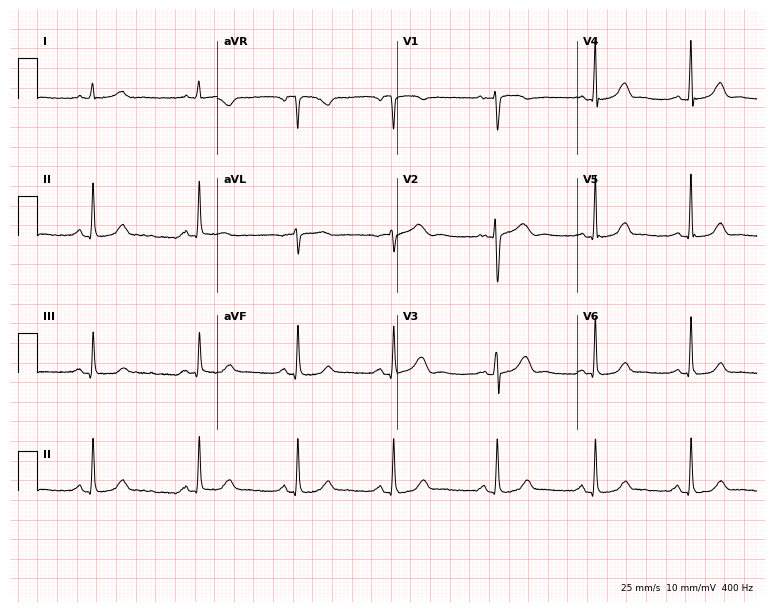
Resting 12-lead electrocardiogram (7.3-second recording at 400 Hz). Patient: a 53-year-old female. Read as a normal ECG.